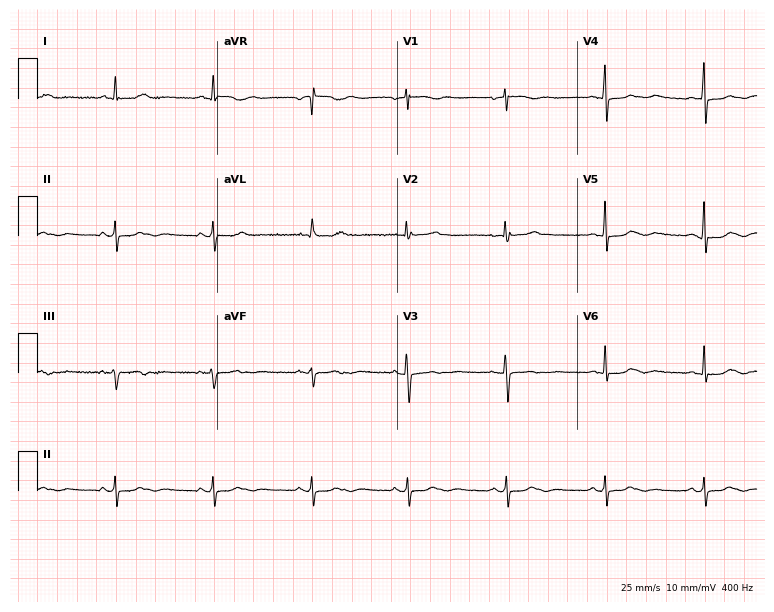
Electrocardiogram, a 72-year-old woman. Of the six screened findings (first-degree AV block, right bundle branch block, left bundle branch block, sinus bradycardia, atrial fibrillation, sinus tachycardia), none is recorded. Findings outside these six are not listed.